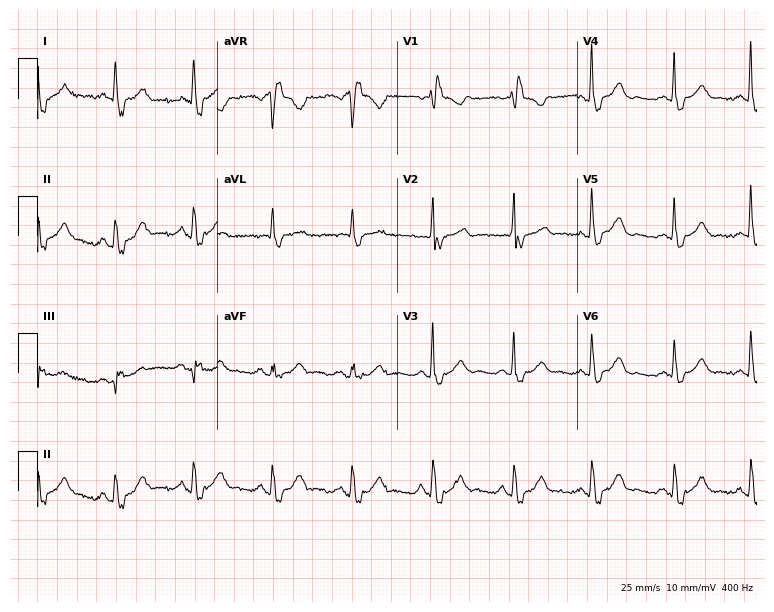
12-lead ECG from a 69-year-old female (7.3-second recording at 400 Hz). Shows right bundle branch block (RBBB).